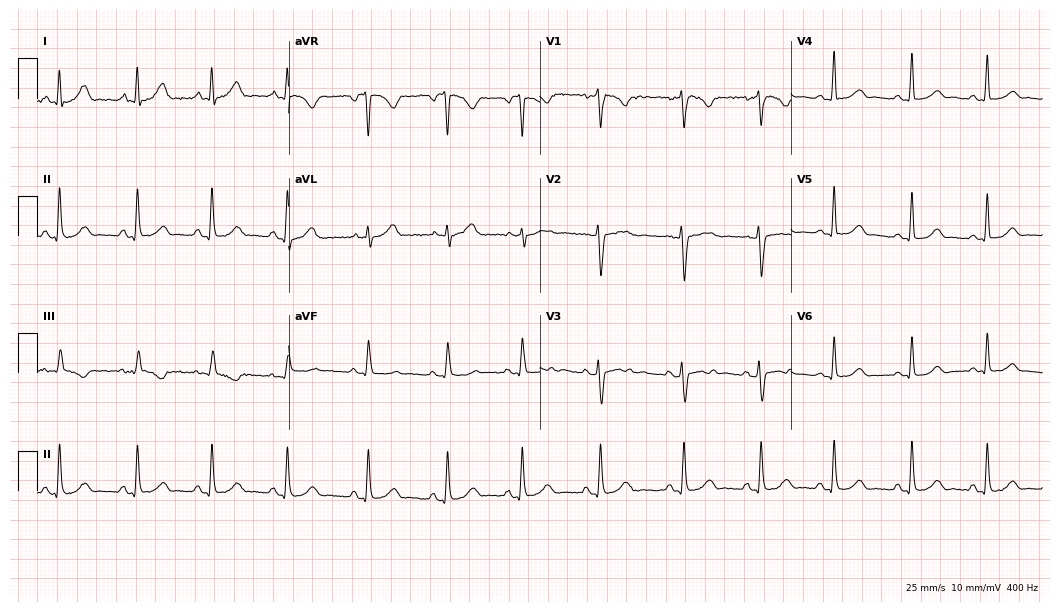
Resting 12-lead electrocardiogram (10.2-second recording at 400 Hz). Patient: a 35-year-old female. Read as a normal ECG.